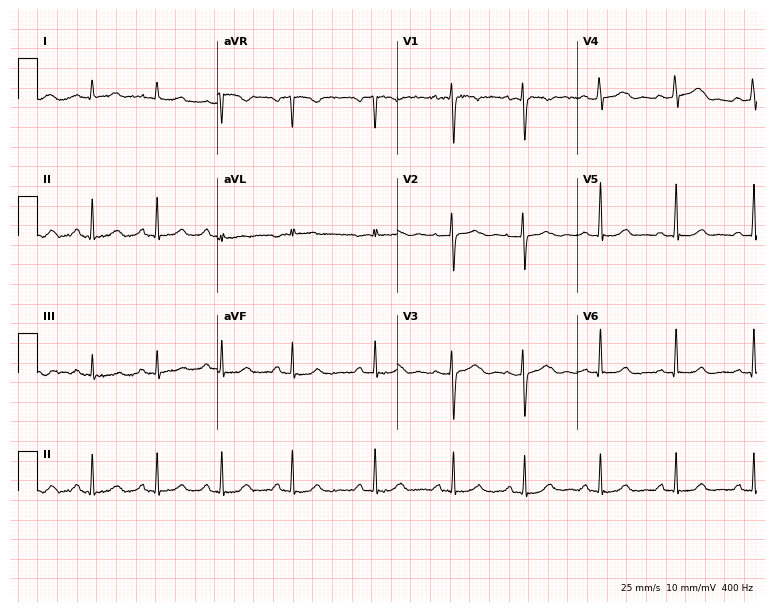
Standard 12-lead ECG recorded from a woman, 23 years old (7.3-second recording at 400 Hz). None of these six findings is recorded: first-degree AV block, right bundle branch block, left bundle branch block, sinus bradycardia, atrial fibrillation, sinus tachycardia.